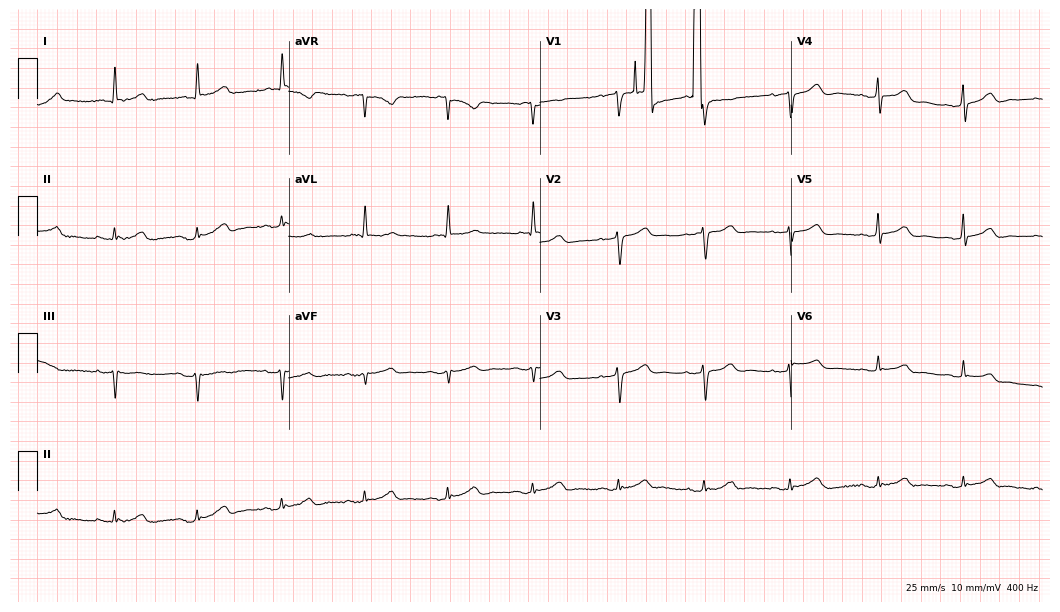
Electrocardiogram, a 73-year-old female patient. Overall reading on record: normal ECG.